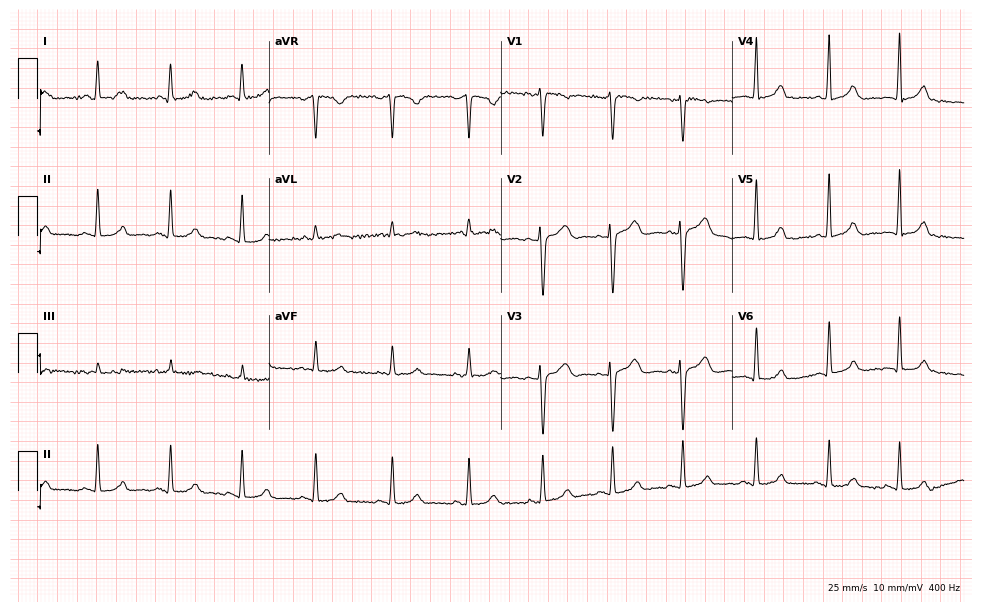
12-lead ECG from a female patient, 37 years old. Screened for six findings — first-degree AV block, right bundle branch block, left bundle branch block, sinus bradycardia, atrial fibrillation, sinus tachycardia — none is recorded.